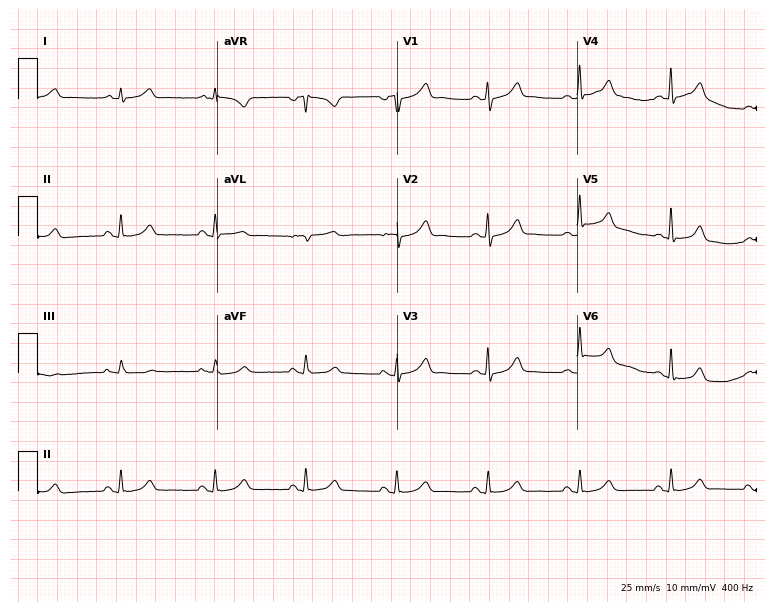
ECG — a 45-year-old female. Screened for six findings — first-degree AV block, right bundle branch block, left bundle branch block, sinus bradycardia, atrial fibrillation, sinus tachycardia — none is recorded. Only these six findings were labelled.